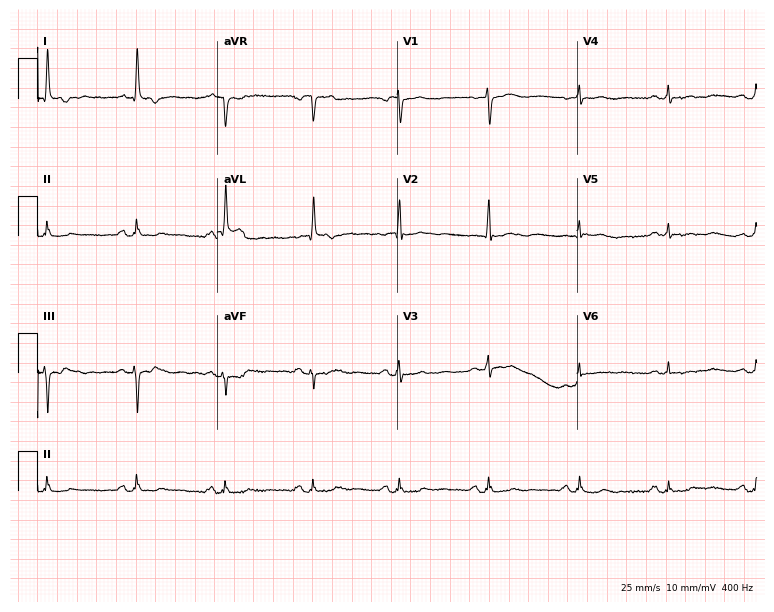
12-lead ECG from a 77-year-old female. Screened for six findings — first-degree AV block, right bundle branch block, left bundle branch block, sinus bradycardia, atrial fibrillation, sinus tachycardia — none is recorded.